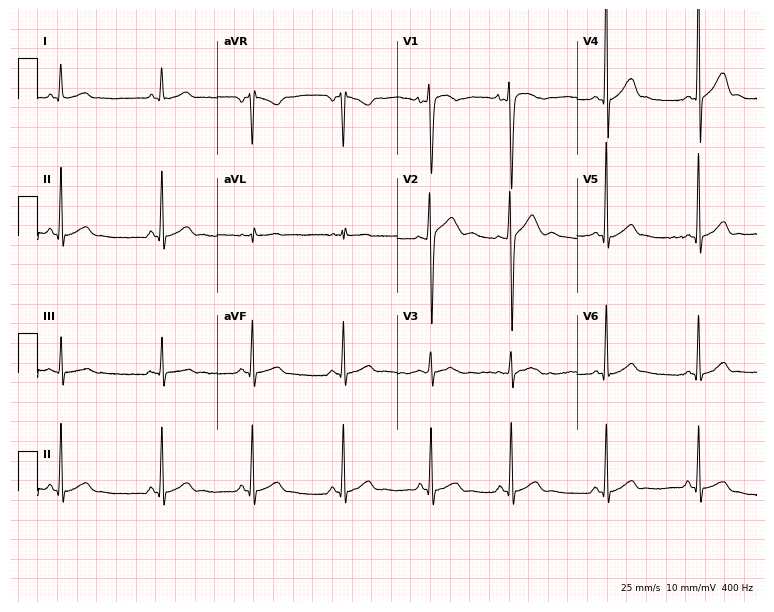
Electrocardiogram (7.3-second recording at 400 Hz), a male, 17 years old. Overall reading on record: normal ECG.